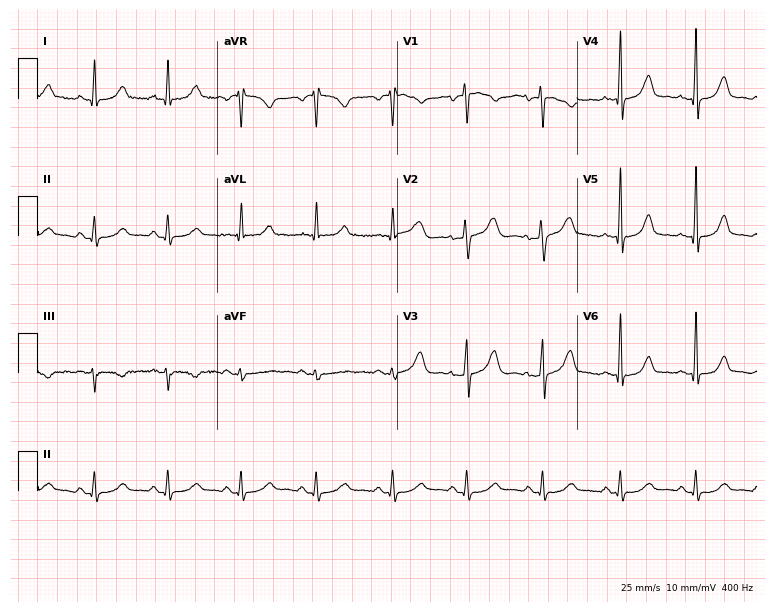
12-lead ECG from a 56-year-old female. Recorded interpretation: within normal limits.